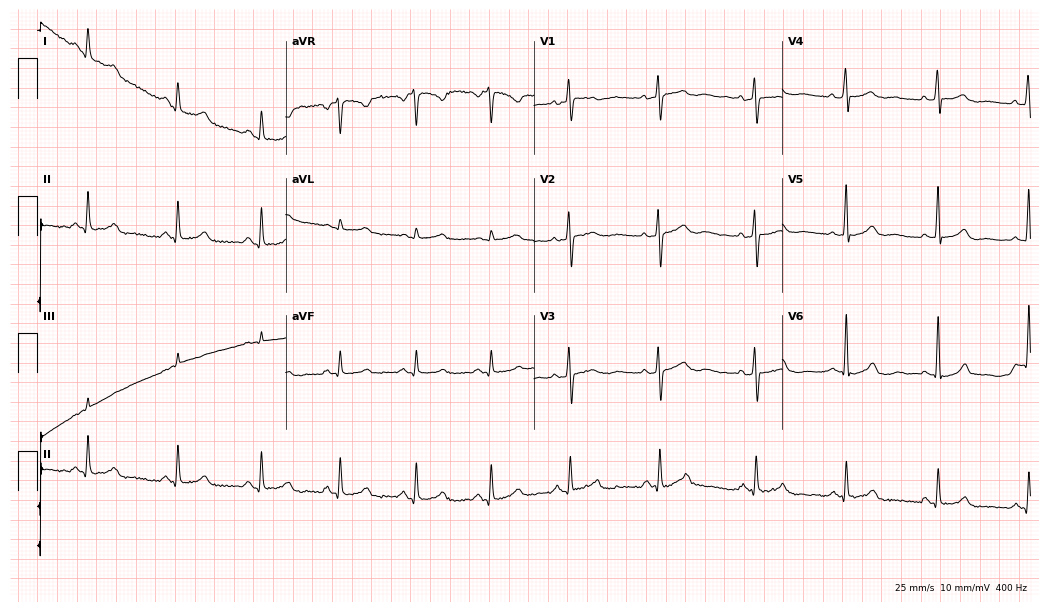
12-lead ECG (10.1-second recording at 400 Hz) from a 28-year-old female. Labelled as a normal ECG.